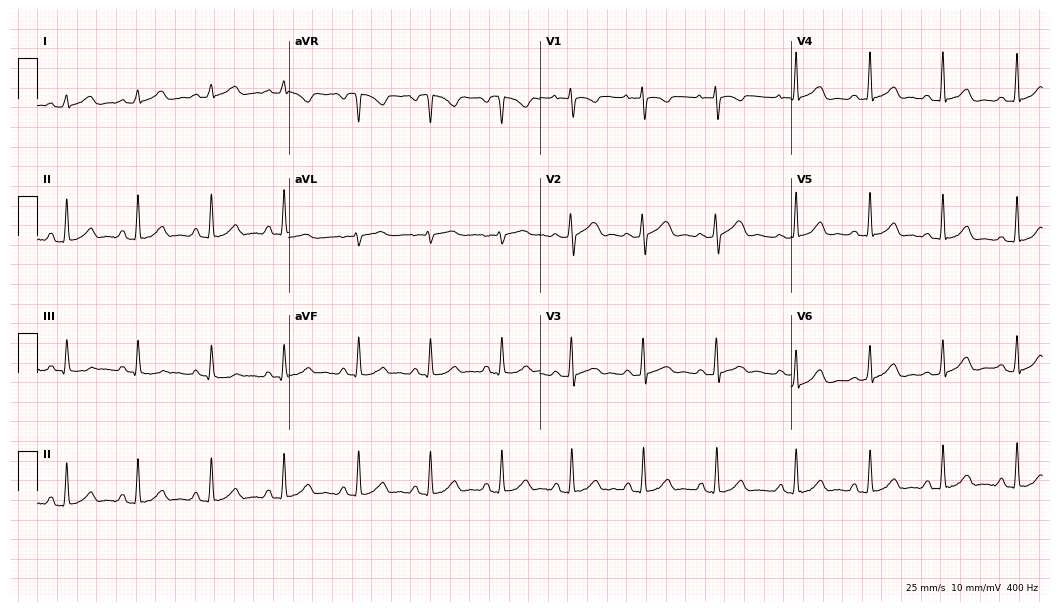
12-lead ECG from a 23-year-old female patient. Labelled as a normal ECG.